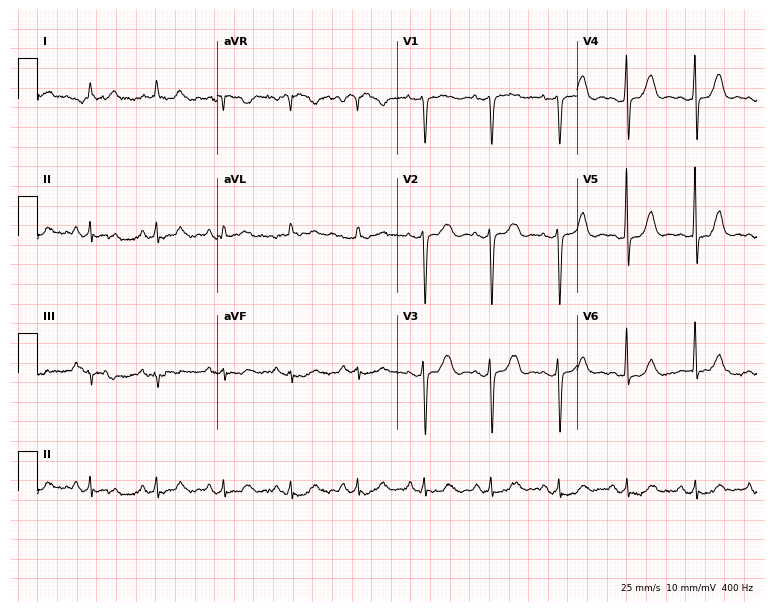
Standard 12-lead ECG recorded from a female, 65 years old (7.3-second recording at 400 Hz). None of these six findings is recorded: first-degree AV block, right bundle branch block (RBBB), left bundle branch block (LBBB), sinus bradycardia, atrial fibrillation (AF), sinus tachycardia.